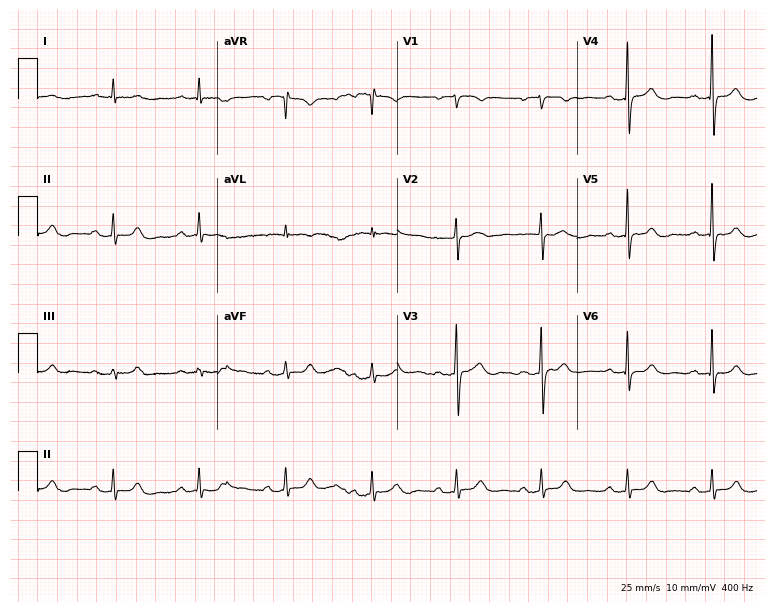
ECG (7.3-second recording at 400 Hz) — a female, 63 years old. Labelled as a normal ECG.